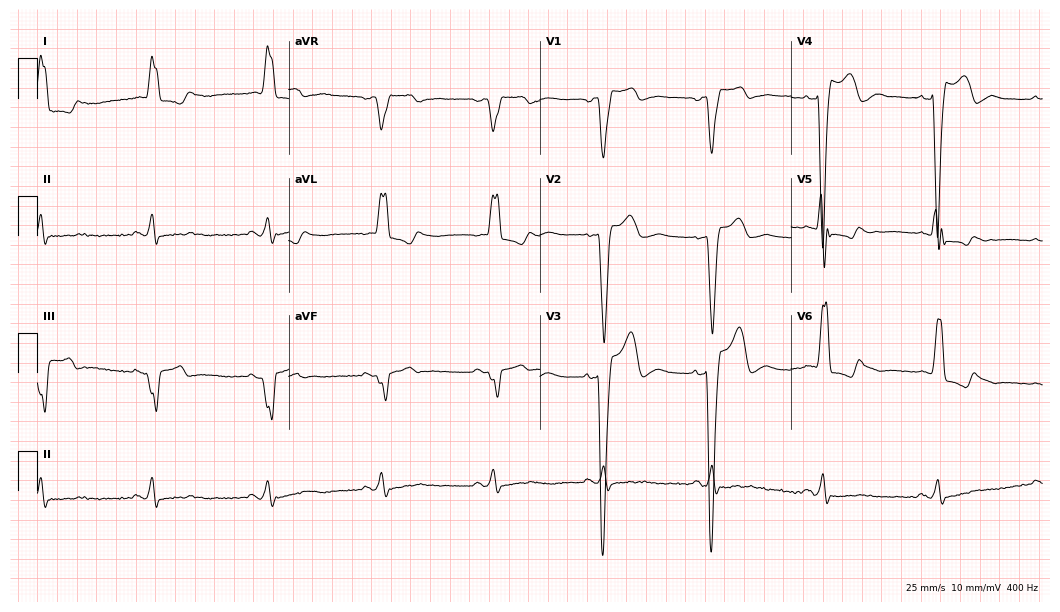
Electrocardiogram (10.2-second recording at 400 Hz), a 79-year-old male. Interpretation includes left bundle branch block.